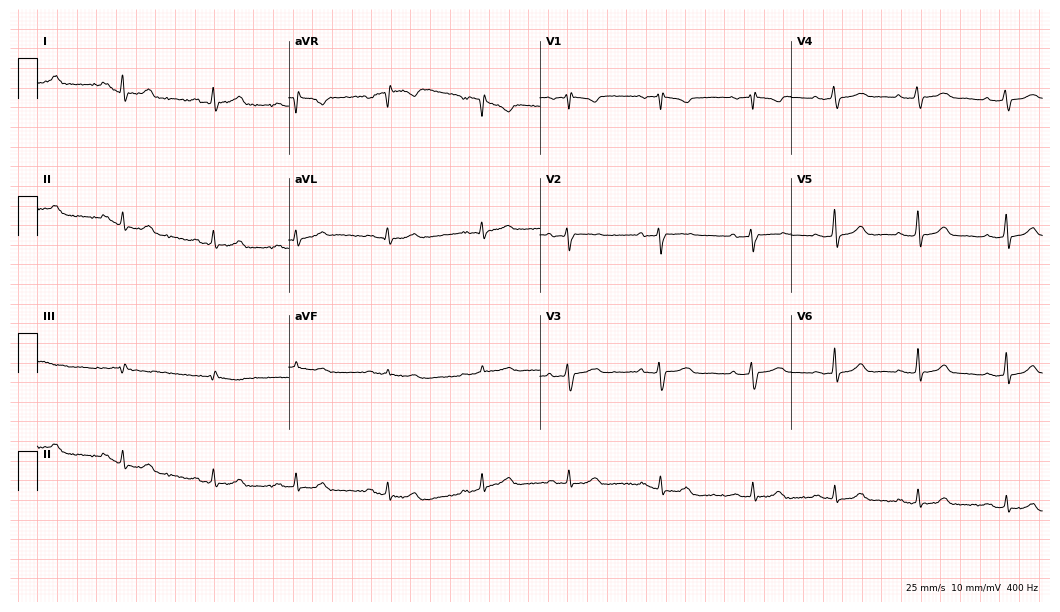
ECG — a woman, 39 years old. Screened for six findings — first-degree AV block, right bundle branch block, left bundle branch block, sinus bradycardia, atrial fibrillation, sinus tachycardia — none is recorded.